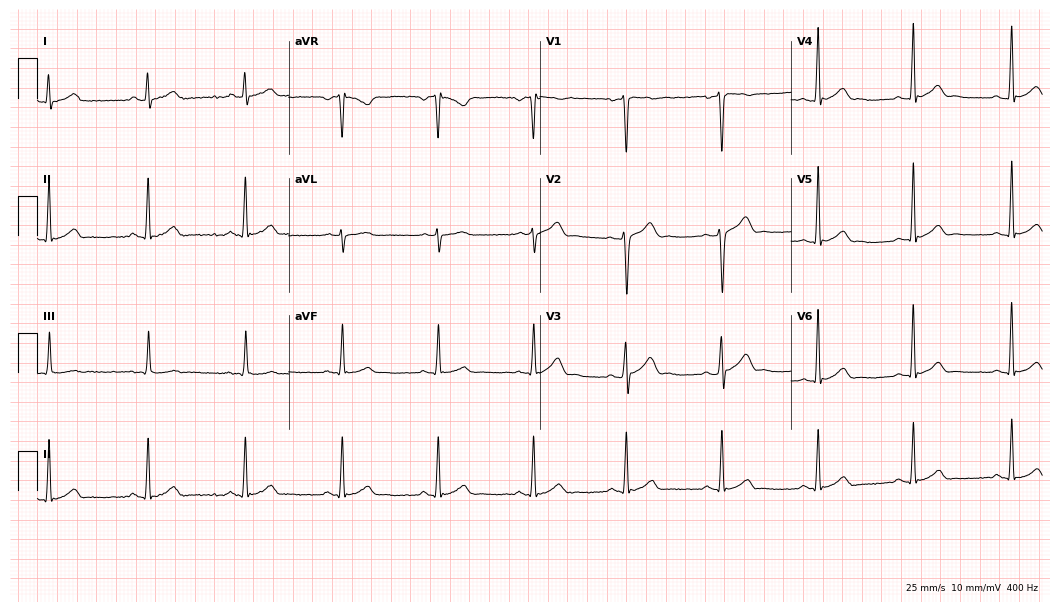
ECG (10.2-second recording at 400 Hz) — a 40-year-old man. Labelled as a normal ECG.